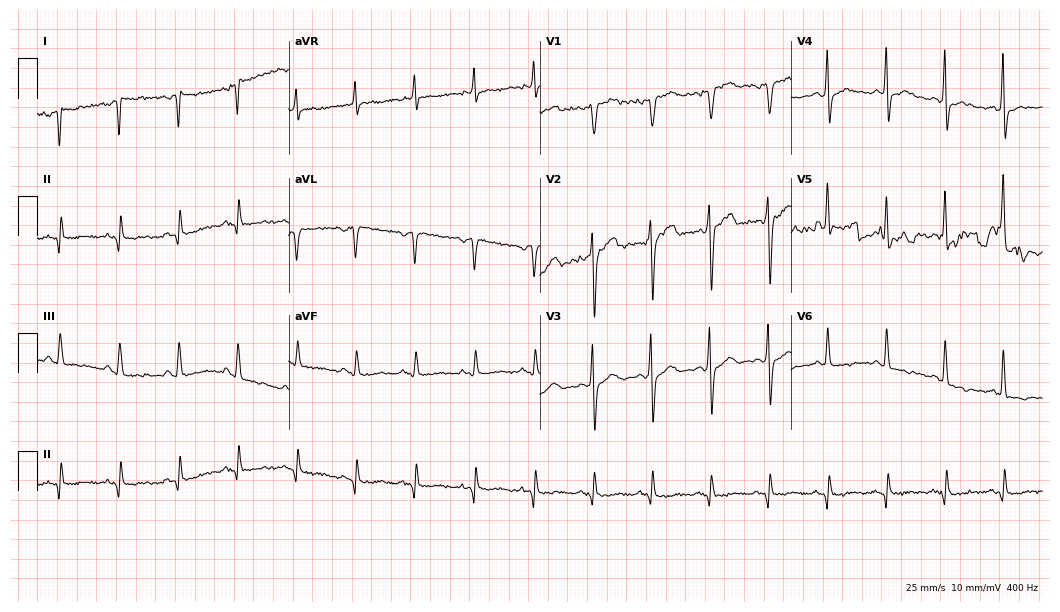
12-lead ECG (10.2-second recording at 400 Hz) from a 56-year-old man. Screened for six findings — first-degree AV block, right bundle branch block, left bundle branch block, sinus bradycardia, atrial fibrillation, sinus tachycardia — none is recorded. Findings outside these six are not listed.